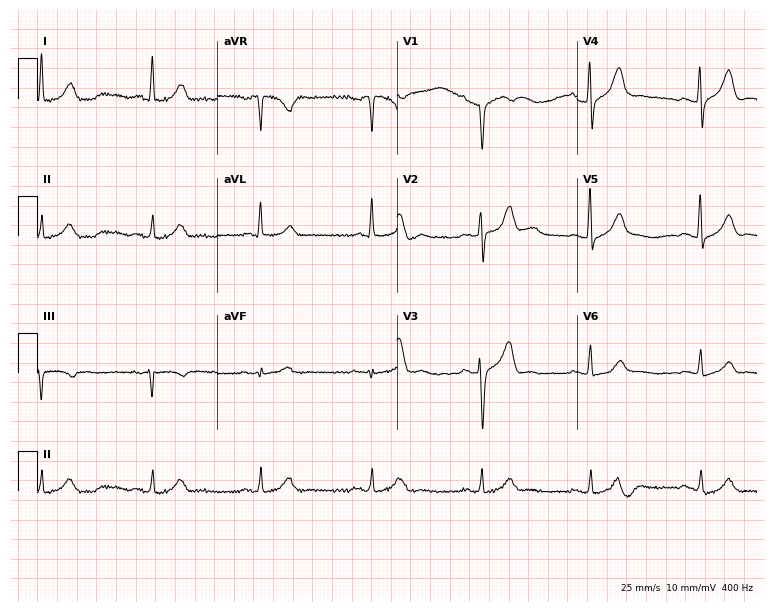
Resting 12-lead electrocardiogram (7.3-second recording at 400 Hz). Patient: a 52-year-old male. Read as a normal ECG.